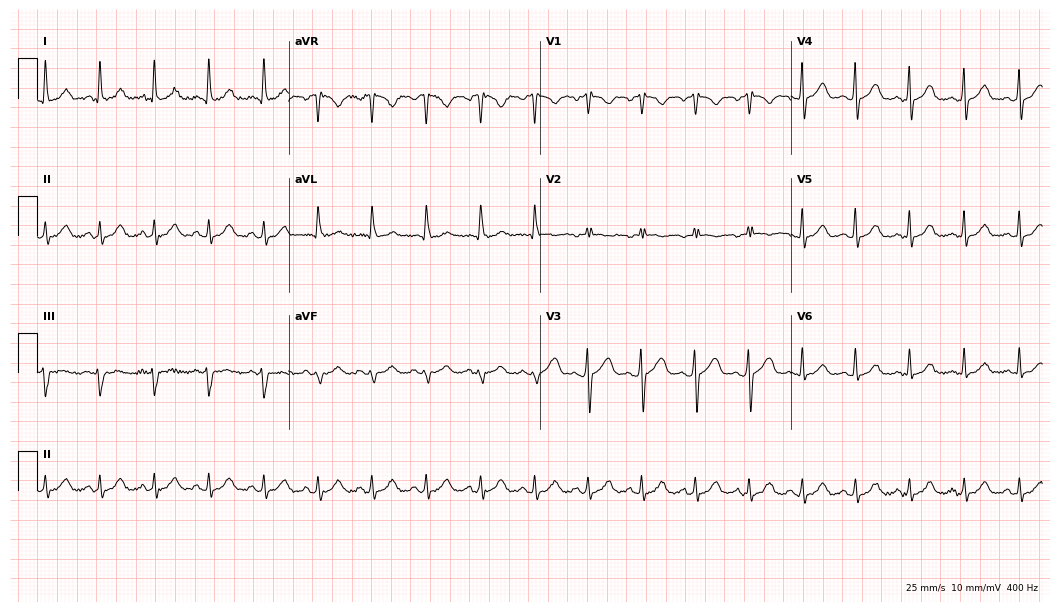
12-lead ECG (10.2-second recording at 400 Hz) from a 37-year-old female patient. Findings include sinus tachycardia (a sinus rate of 100 beats per minute or more).